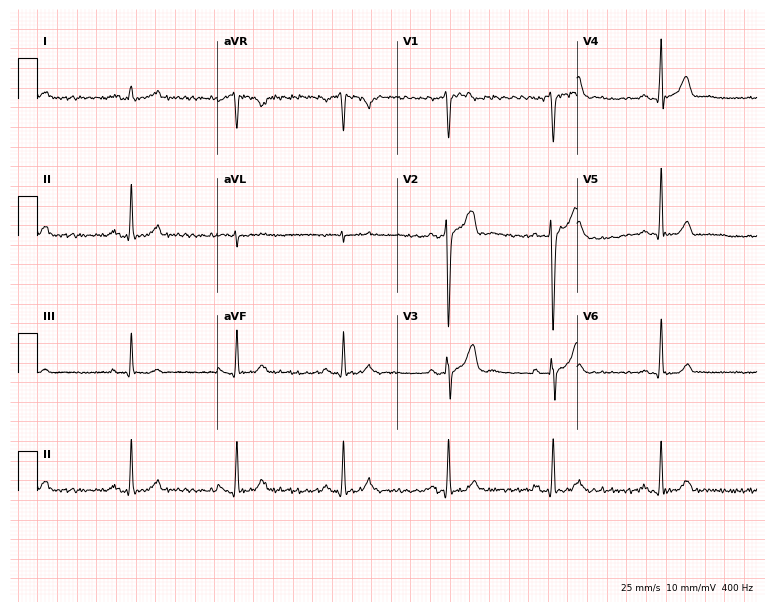
Standard 12-lead ECG recorded from a man, 34 years old (7.3-second recording at 400 Hz). None of these six findings is recorded: first-degree AV block, right bundle branch block (RBBB), left bundle branch block (LBBB), sinus bradycardia, atrial fibrillation (AF), sinus tachycardia.